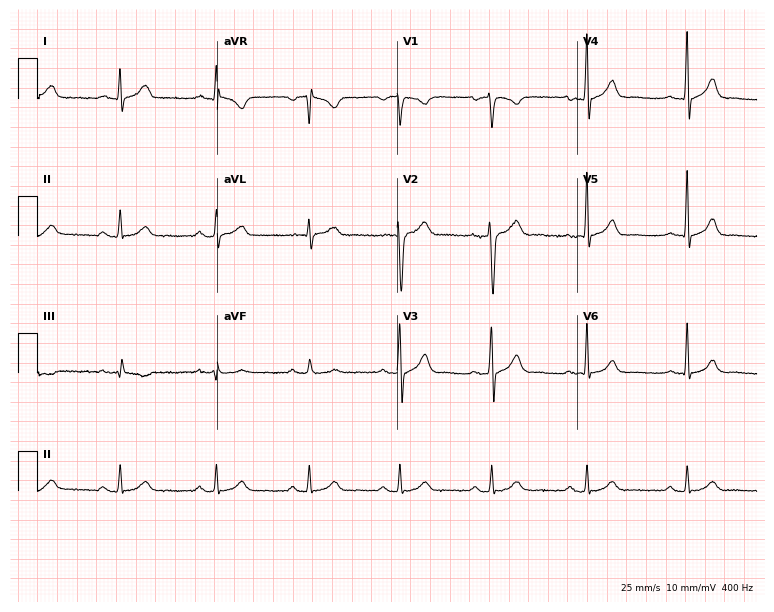
ECG — a 52-year-old male. Labelled as a normal ECG.